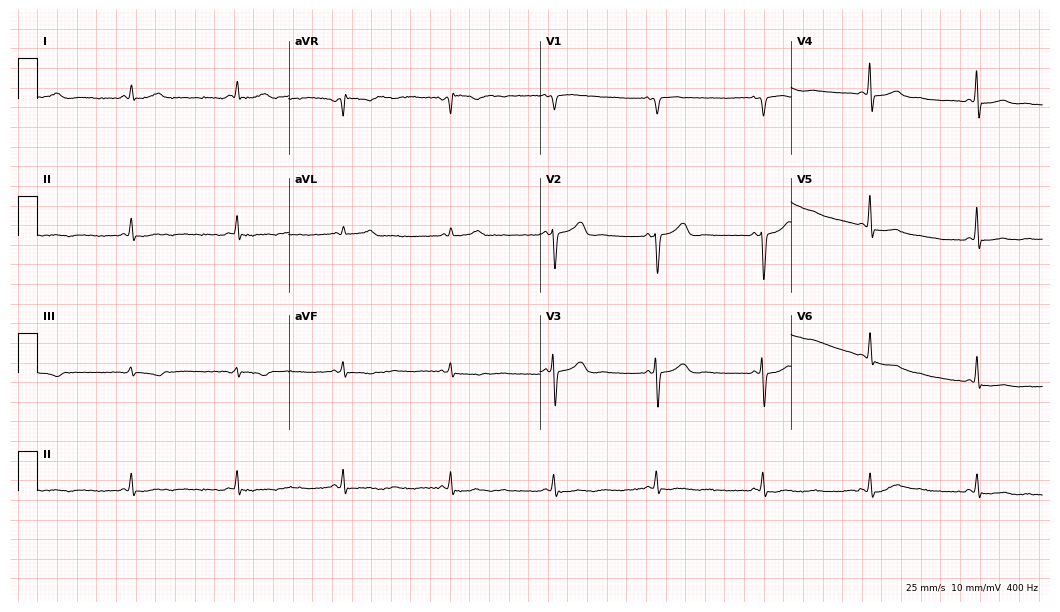
Electrocardiogram, a 45-year-old female. Of the six screened findings (first-degree AV block, right bundle branch block (RBBB), left bundle branch block (LBBB), sinus bradycardia, atrial fibrillation (AF), sinus tachycardia), none is recorded.